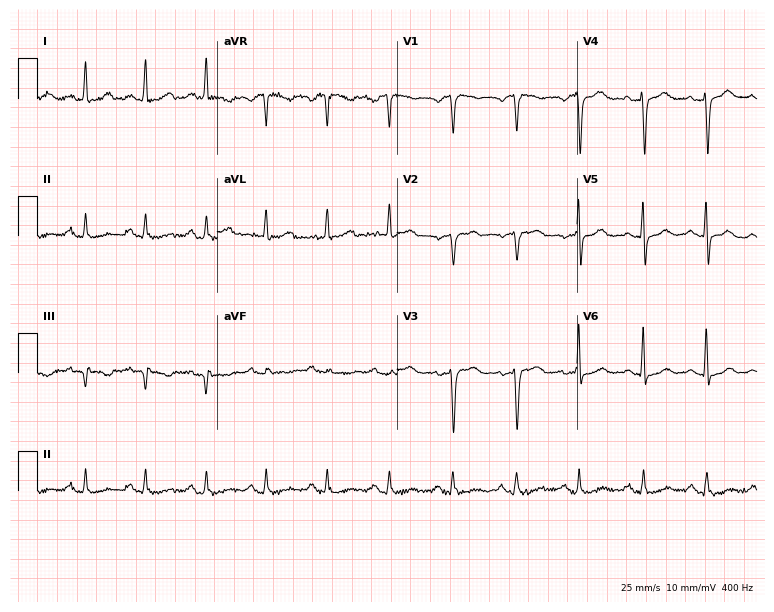
12-lead ECG from a female patient, 64 years old. Screened for six findings — first-degree AV block, right bundle branch block (RBBB), left bundle branch block (LBBB), sinus bradycardia, atrial fibrillation (AF), sinus tachycardia — none is recorded. Other findings, if any, are not listed.